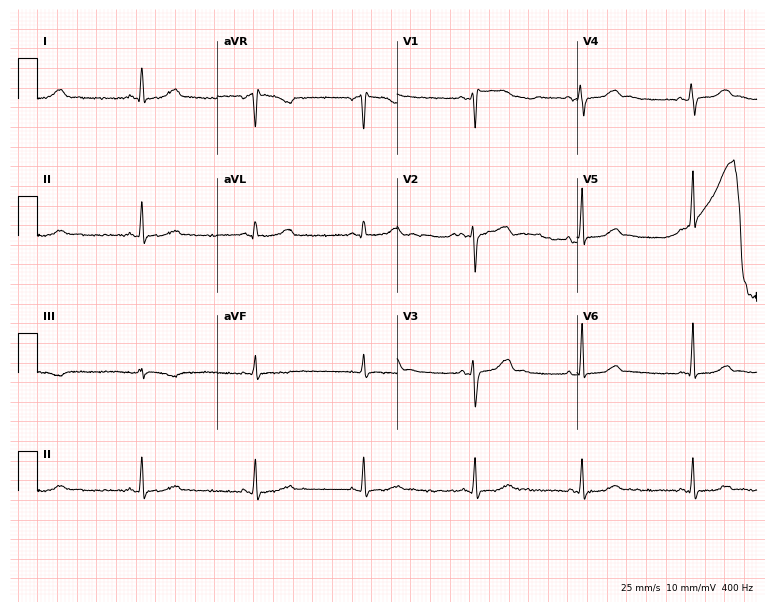
Electrocardiogram (7.3-second recording at 400 Hz), a woman, 31 years old. Overall reading on record: normal ECG.